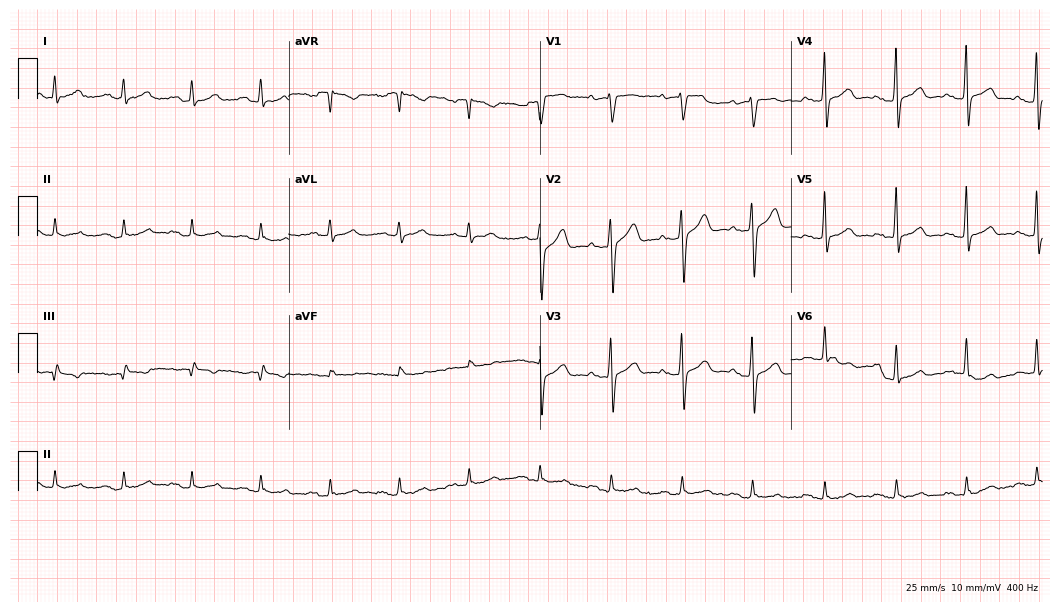
Electrocardiogram, a 45-year-old man. Overall reading on record: normal ECG.